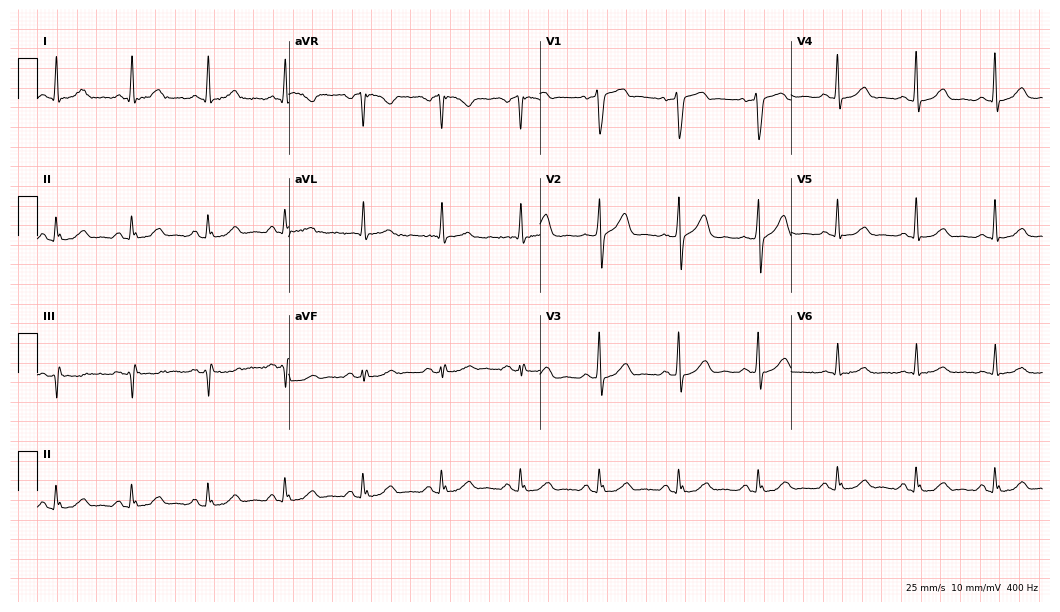
12-lead ECG from a female, 65 years old. Recorded interpretation: within normal limits.